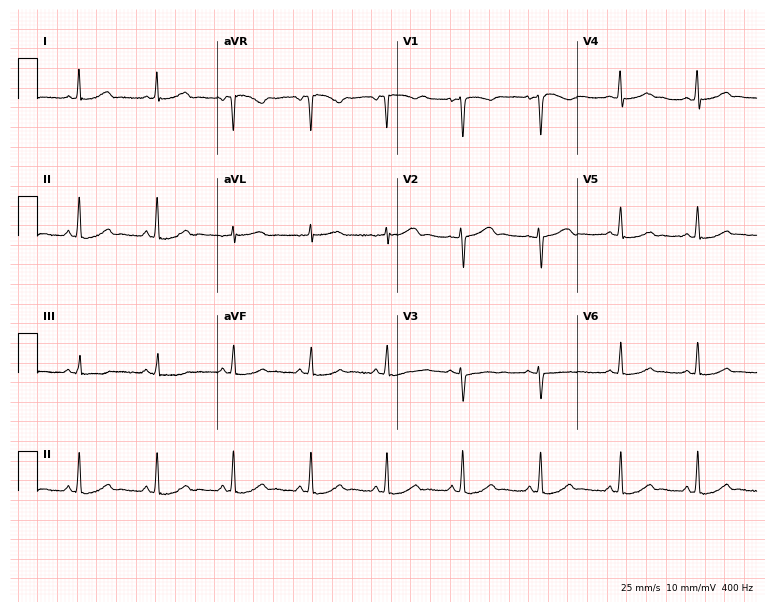
Resting 12-lead electrocardiogram (7.3-second recording at 400 Hz). Patient: a female, 45 years old. Read as a normal ECG.